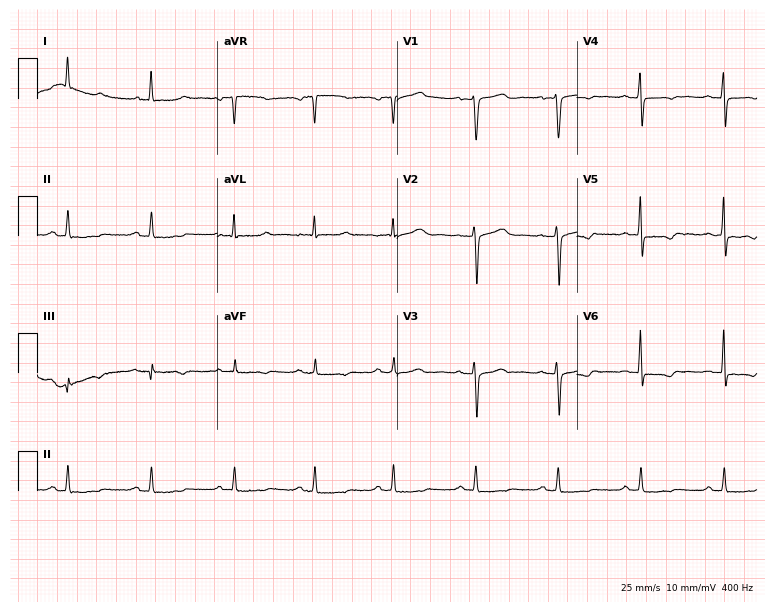
ECG — a woman, 52 years old. Screened for six findings — first-degree AV block, right bundle branch block, left bundle branch block, sinus bradycardia, atrial fibrillation, sinus tachycardia — none is recorded.